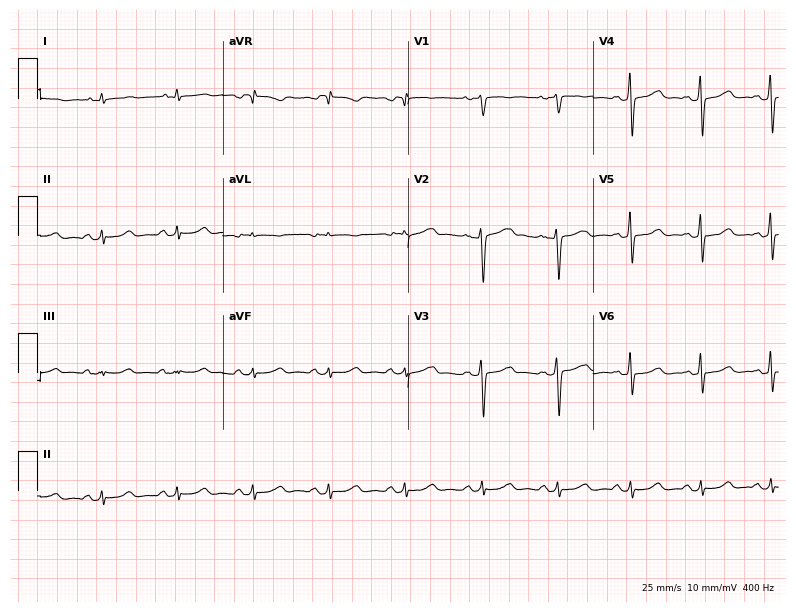
ECG (7.6-second recording at 400 Hz) — a female patient, 37 years old. Screened for six findings — first-degree AV block, right bundle branch block, left bundle branch block, sinus bradycardia, atrial fibrillation, sinus tachycardia — none is recorded.